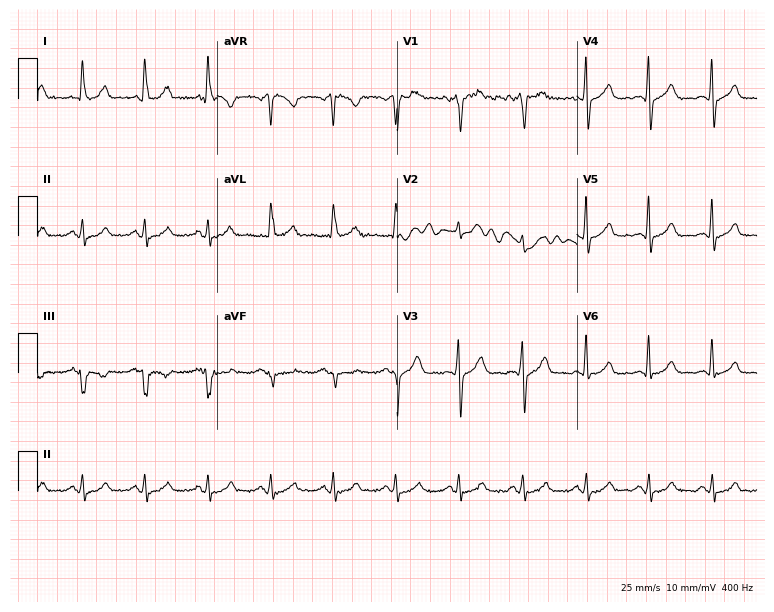
12-lead ECG from a man, 48 years old (7.3-second recording at 400 Hz). No first-degree AV block, right bundle branch block, left bundle branch block, sinus bradycardia, atrial fibrillation or sinus tachycardia recorded for this tracing.